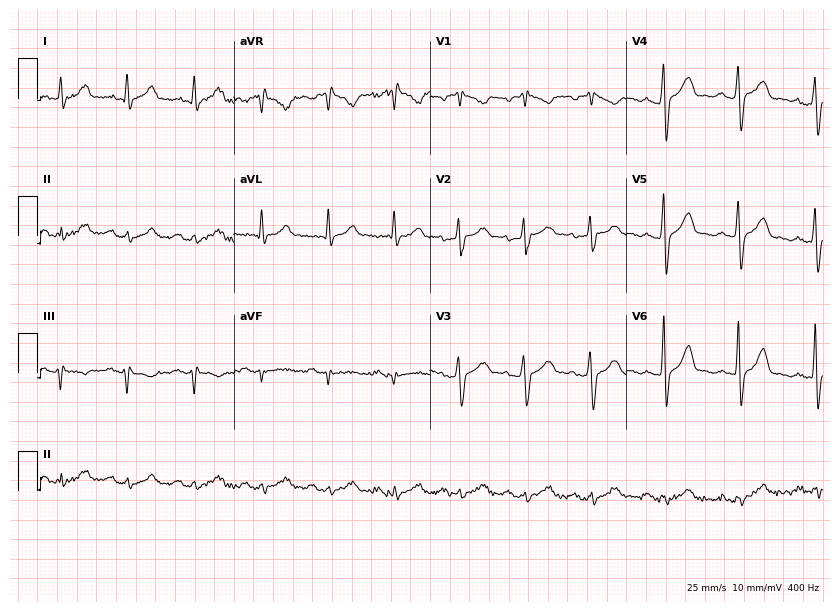
ECG (8-second recording at 400 Hz) — a 37-year-old male patient. Screened for six findings — first-degree AV block, right bundle branch block (RBBB), left bundle branch block (LBBB), sinus bradycardia, atrial fibrillation (AF), sinus tachycardia — none is recorded.